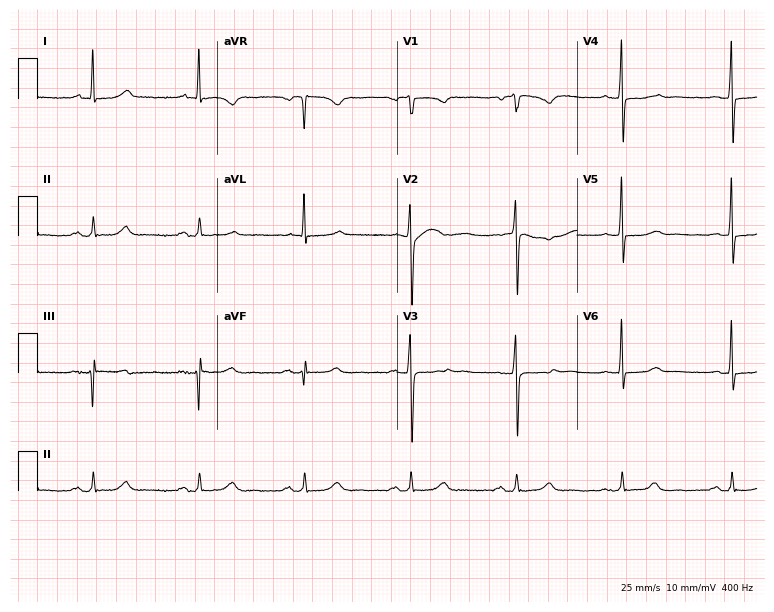
Standard 12-lead ECG recorded from a female patient, 69 years old (7.3-second recording at 400 Hz). None of these six findings is recorded: first-degree AV block, right bundle branch block (RBBB), left bundle branch block (LBBB), sinus bradycardia, atrial fibrillation (AF), sinus tachycardia. Other findings, if any, are not listed.